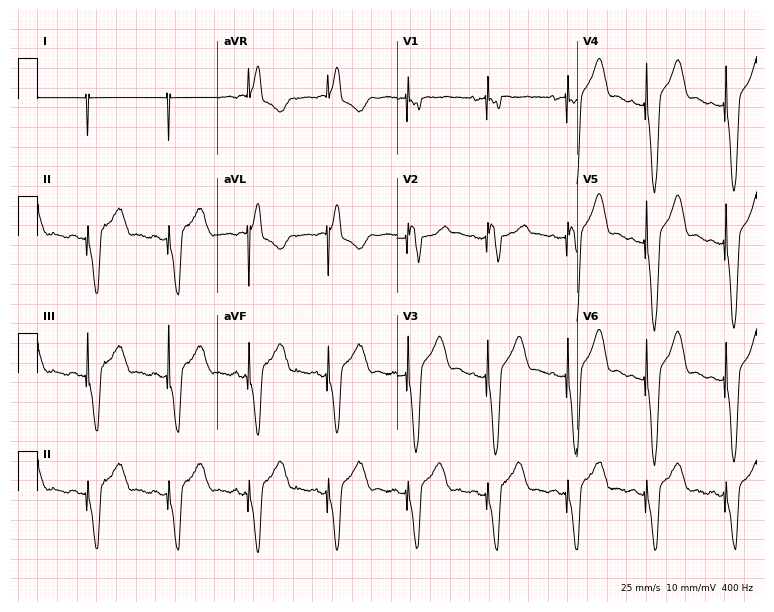
ECG (7.3-second recording at 400 Hz) — a 78-year-old female. Screened for six findings — first-degree AV block, right bundle branch block, left bundle branch block, sinus bradycardia, atrial fibrillation, sinus tachycardia — none is recorded. Other findings, if any, are not listed.